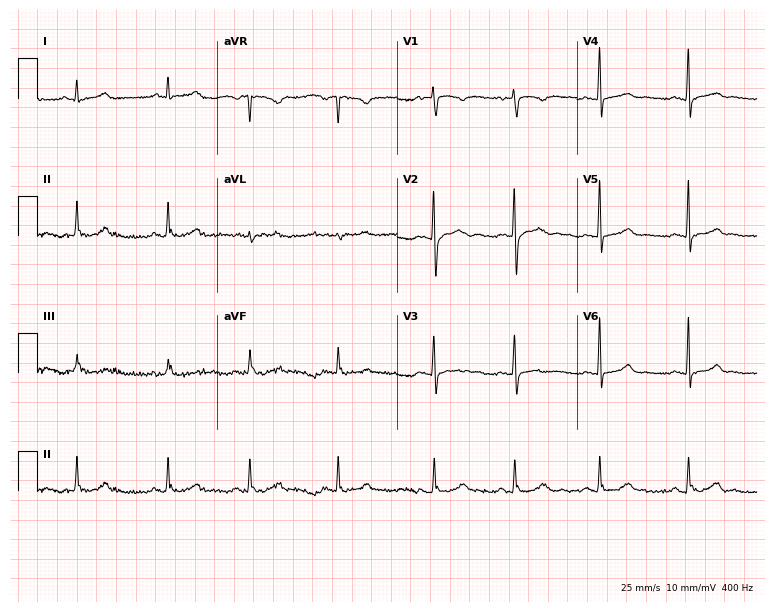
Electrocardiogram, a 21-year-old woman. Overall reading on record: normal ECG.